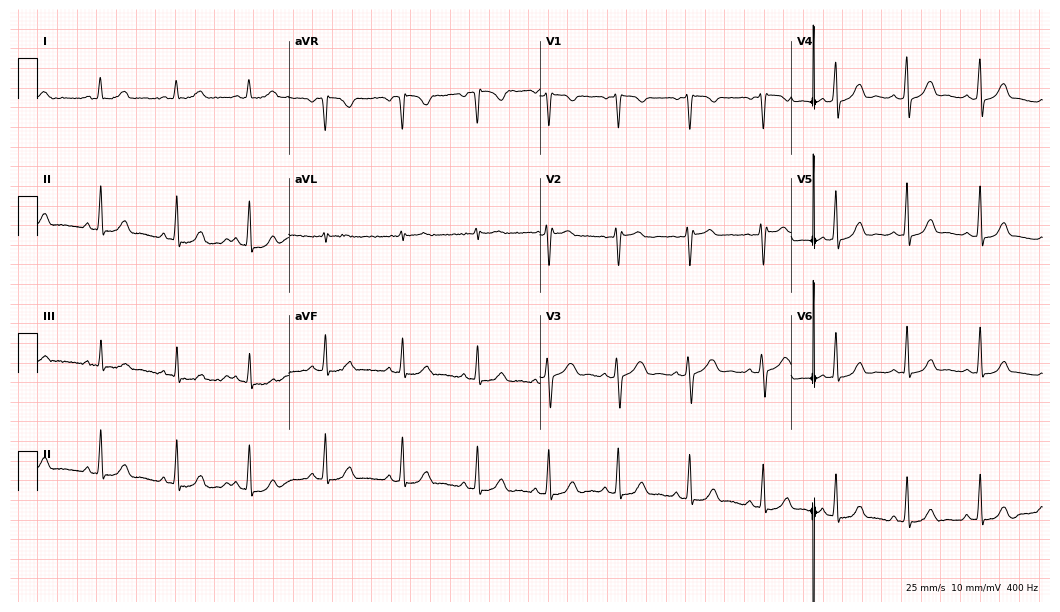
ECG (10.2-second recording at 400 Hz) — a 39-year-old female. Screened for six findings — first-degree AV block, right bundle branch block, left bundle branch block, sinus bradycardia, atrial fibrillation, sinus tachycardia — none is recorded. Other findings, if any, are not listed.